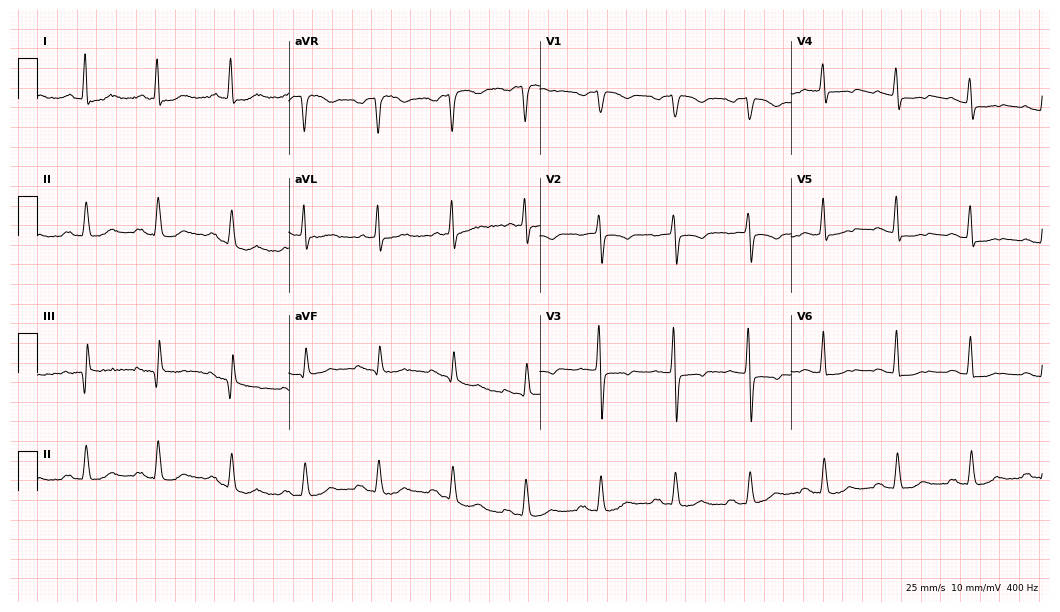
12-lead ECG from a 79-year-old female patient. No first-degree AV block, right bundle branch block (RBBB), left bundle branch block (LBBB), sinus bradycardia, atrial fibrillation (AF) or sinus tachycardia recorded for this tracing.